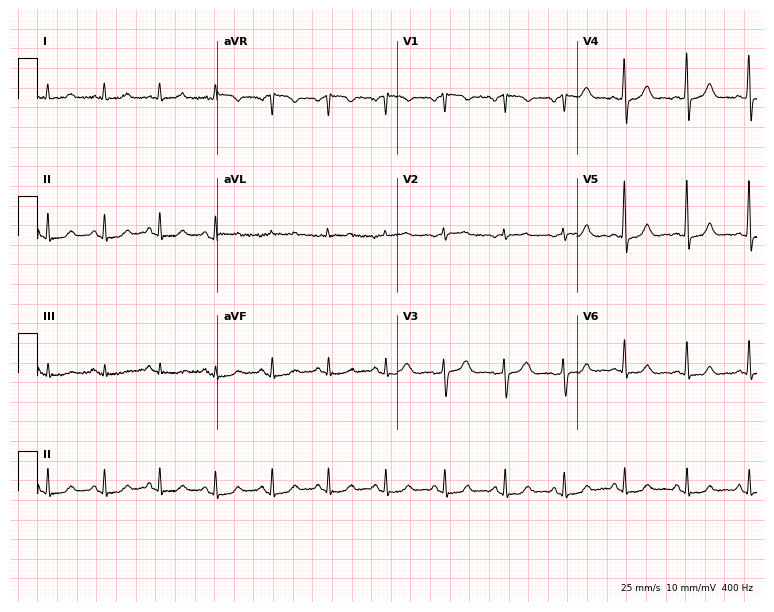
12-lead ECG (7.3-second recording at 400 Hz) from a woman, 47 years old. Findings include sinus tachycardia (a sinus rate of 100 beats per minute or more).